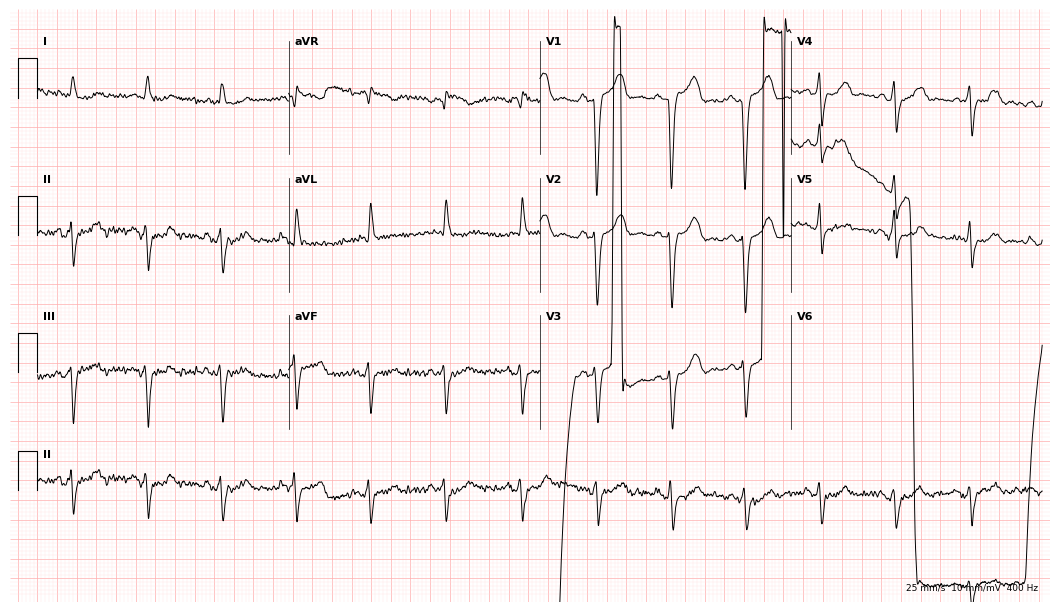
12-lead ECG from a 77-year-old woman. No first-degree AV block, right bundle branch block (RBBB), left bundle branch block (LBBB), sinus bradycardia, atrial fibrillation (AF) or sinus tachycardia recorded for this tracing.